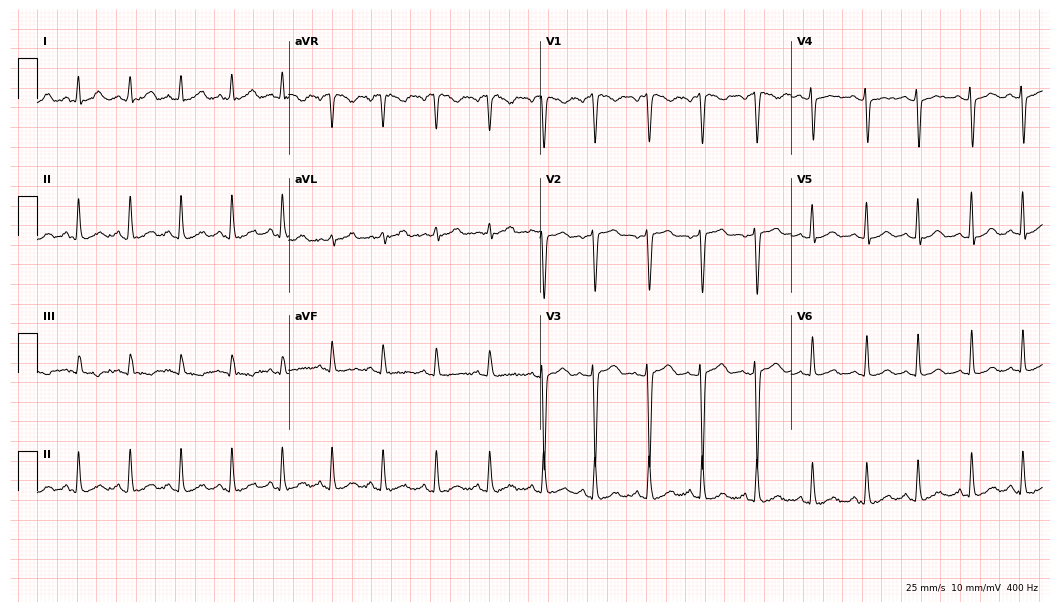
Resting 12-lead electrocardiogram. Patient: a female, 41 years old. The tracing shows sinus tachycardia (a sinus rate of 100 beats per minute or more).